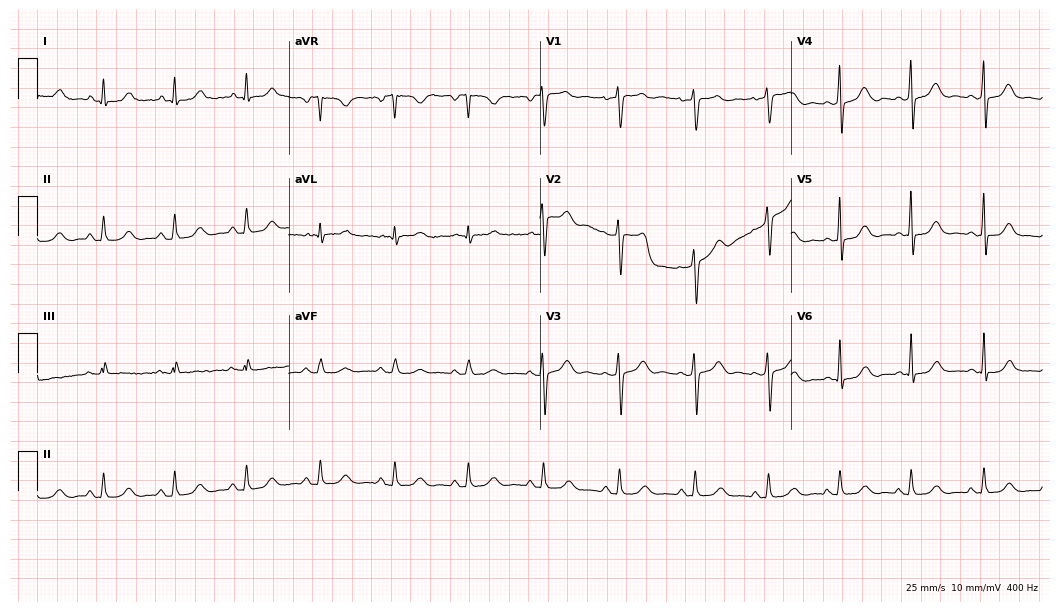
Electrocardiogram (10.2-second recording at 400 Hz), a 45-year-old woman. Overall reading on record: normal ECG.